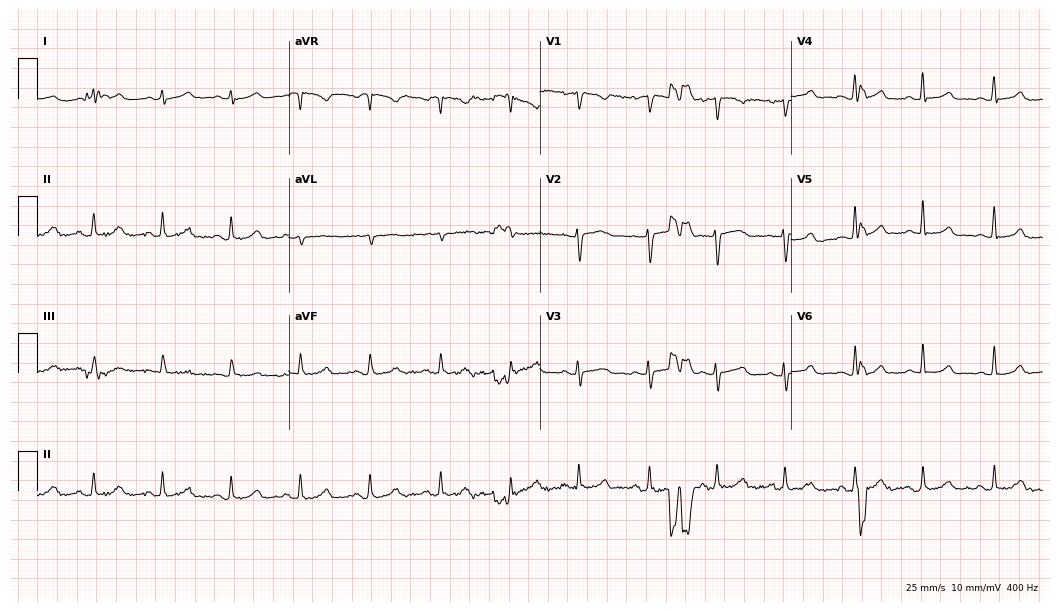
Resting 12-lead electrocardiogram. Patient: a 38-year-old female. Read as a normal ECG.